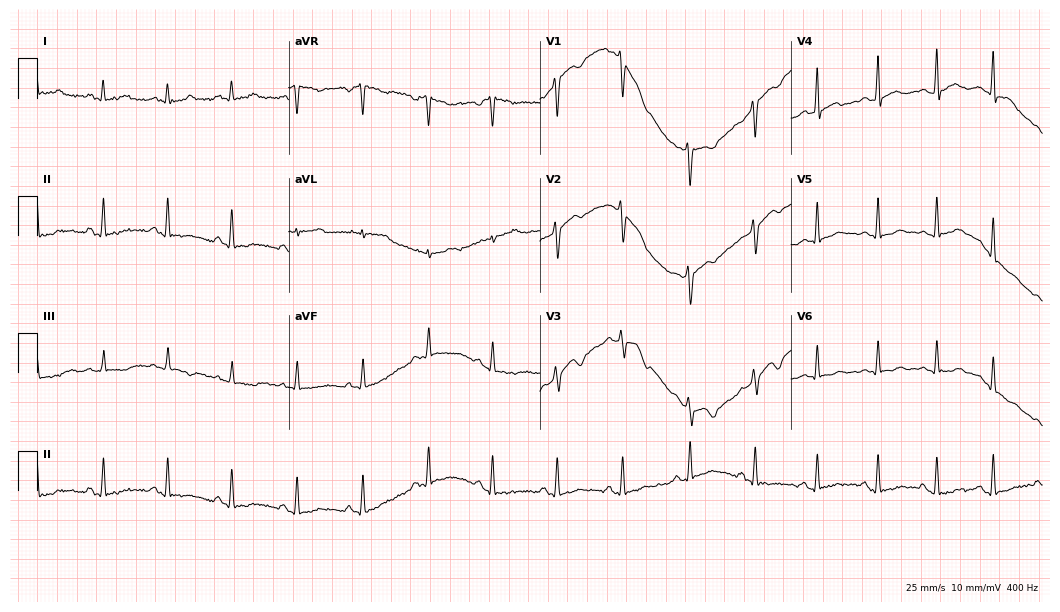
Standard 12-lead ECG recorded from a woman, 27 years old (10.2-second recording at 400 Hz). Read as a normal ECG.